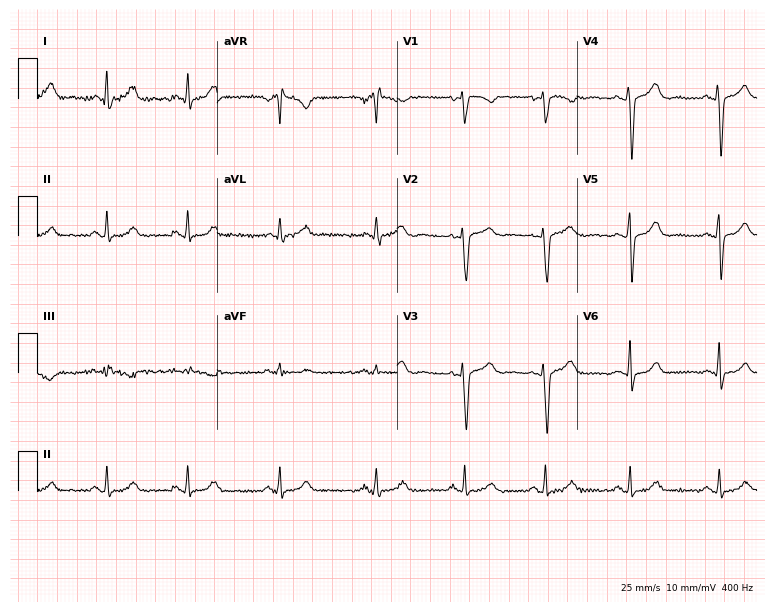
12-lead ECG from a 35-year-old woman (7.3-second recording at 400 Hz). No first-degree AV block, right bundle branch block (RBBB), left bundle branch block (LBBB), sinus bradycardia, atrial fibrillation (AF) or sinus tachycardia recorded for this tracing.